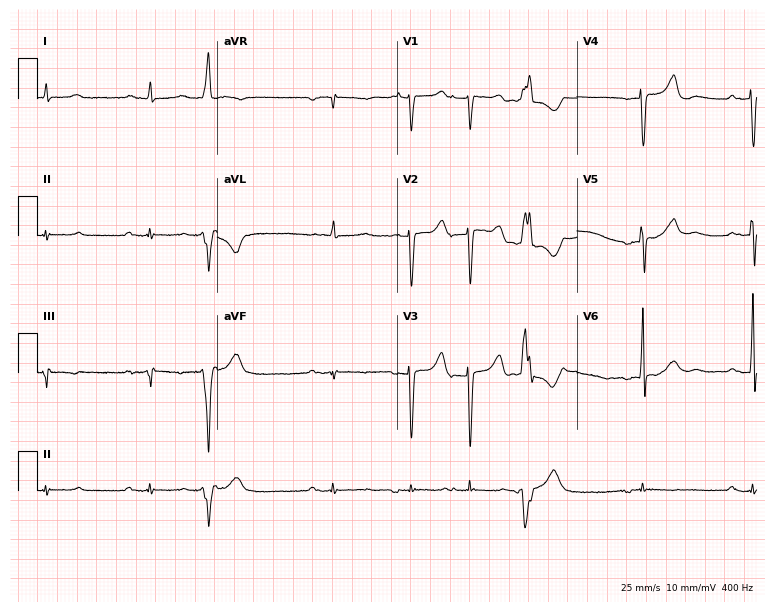
Electrocardiogram (7.3-second recording at 400 Hz), an 80-year-old woman. Of the six screened findings (first-degree AV block, right bundle branch block, left bundle branch block, sinus bradycardia, atrial fibrillation, sinus tachycardia), none is recorded.